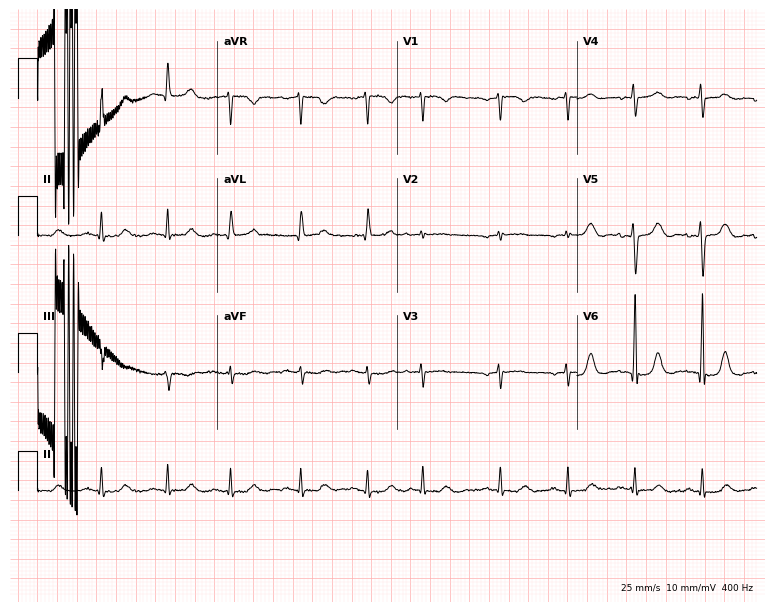
Standard 12-lead ECG recorded from a female, 80 years old (7.3-second recording at 400 Hz). None of these six findings is recorded: first-degree AV block, right bundle branch block, left bundle branch block, sinus bradycardia, atrial fibrillation, sinus tachycardia. Findings outside these six are not listed.